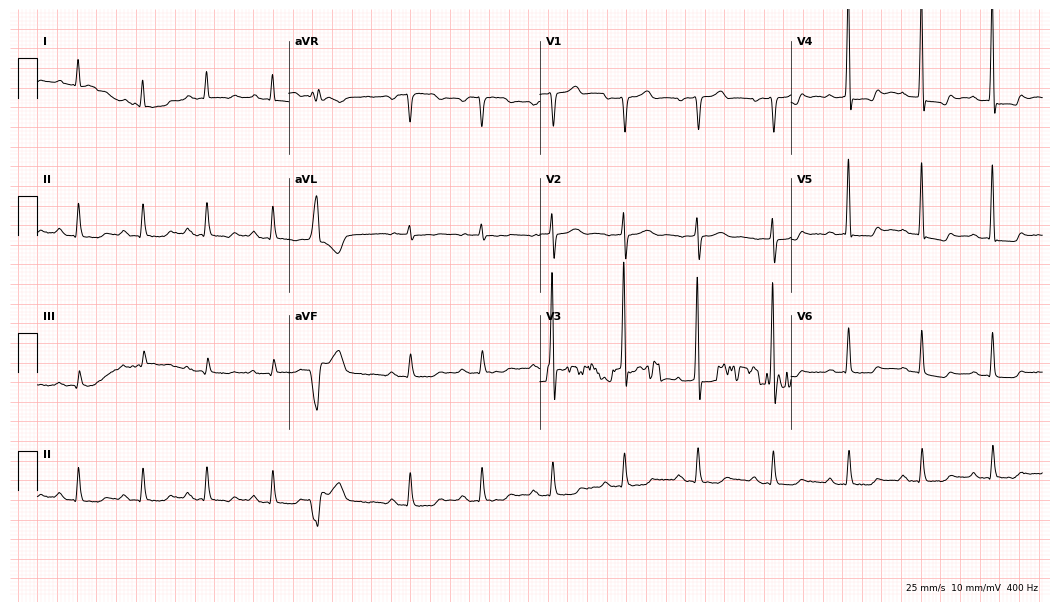
Resting 12-lead electrocardiogram (10.2-second recording at 400 Hz). Patient: a male aged 90 or older. None of these six findings is recorded: first-degree AV block, right bundle branch block, left bundle branch block, sinus bradycardia, atrial fibrillation, sinus tachycardia.